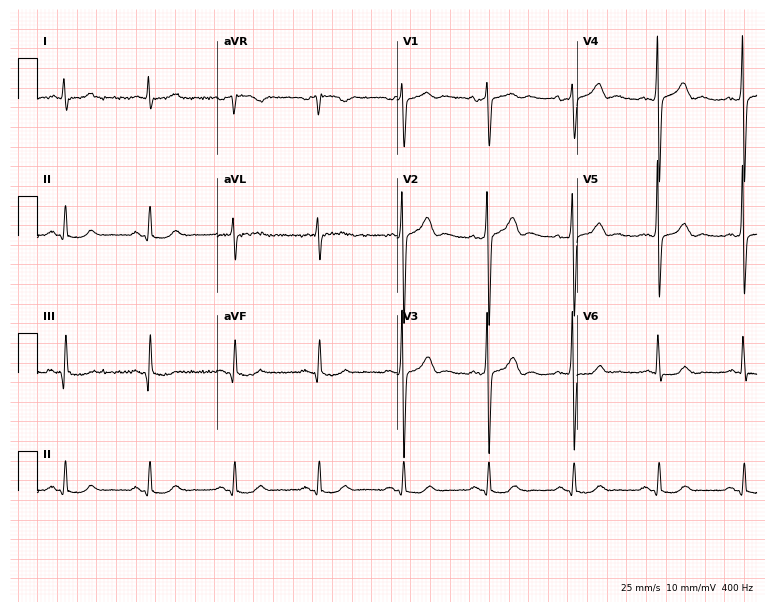
12-lead ECG from a male, 57 years old. No first-degree AV block, right bundle branch block (RBBB), left bundle branch block (LBBB), sinus bradycardia, atrial fibrillation (AF) or sinus tachycardia recorded for this tracing.